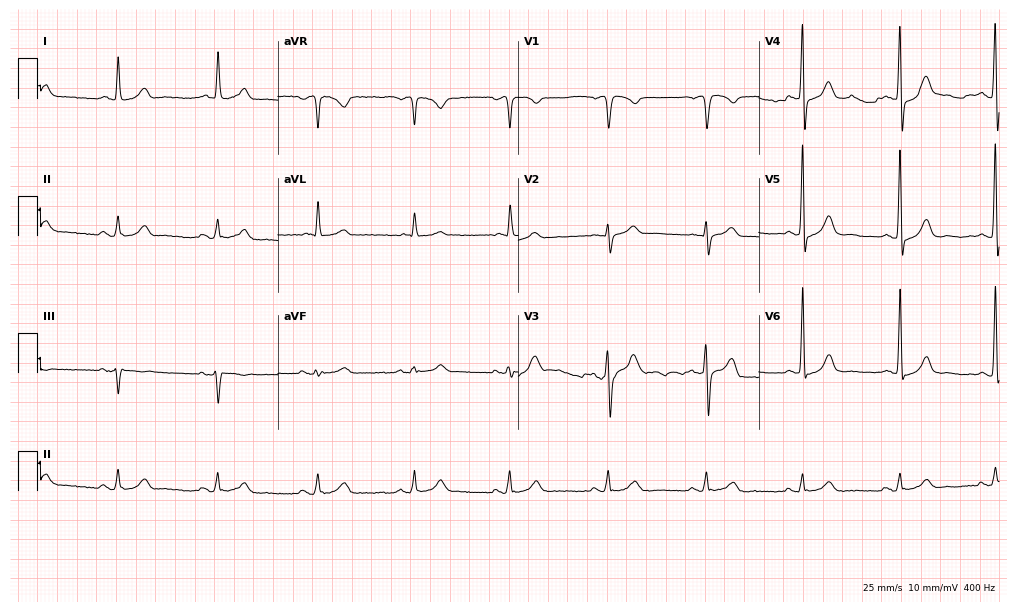
12-lead ECG from a man, 64 years old. No first-degree AV block, right bundle branch block (RBBB), left bundle branch block (LBBB), sinus bradycardia, atrial fibrillation (AF) or sinus tachycardia recorded for this tracing.